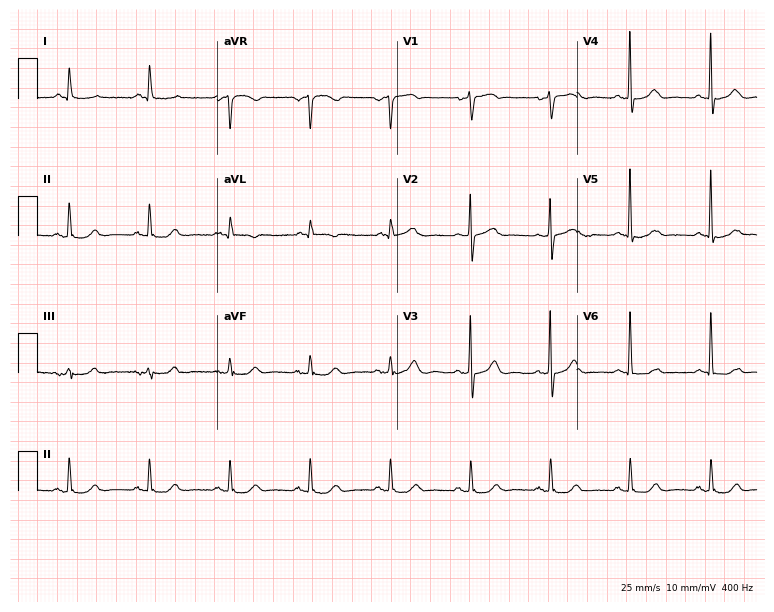
ECG (7.3-second recording at 400 Hz) — an 80-year-old man. Labelled as a normal ECG.